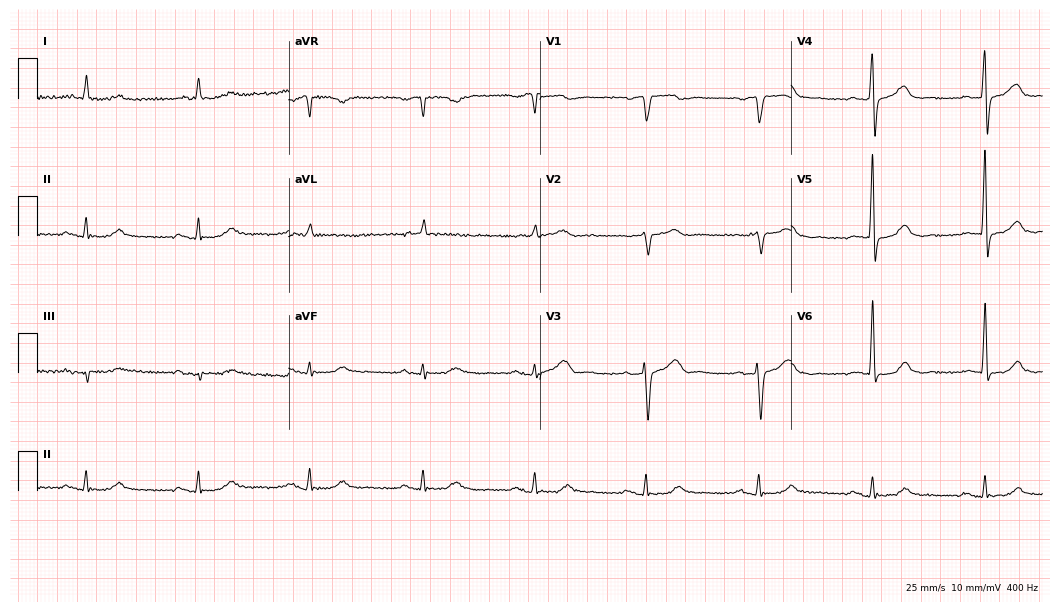
12-lead ECG from a man, 74 years old. Screened for six findings — first-degree AV block, right bundle branch block, left bundle branch block, sinus bradycardia, atrial fibrillation, sinus tachycardia — none is recorded.